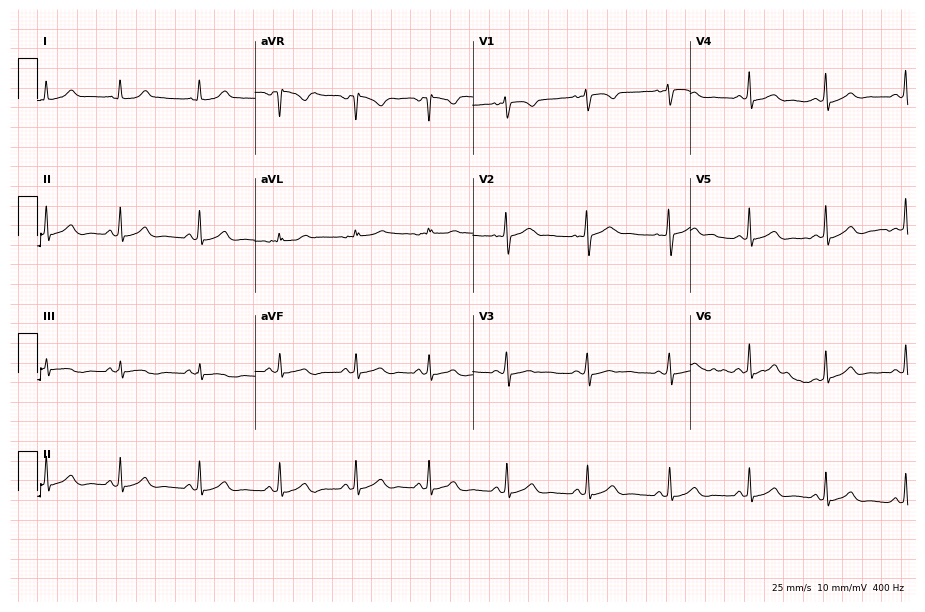
12-lead ECG from a female, 27 years old (8.9-second recording at 400 Hz). No first-degree AV block, right bundle branch block (RBBB), left bundle branch block (LBBB), sinus bradycardia, atrial fibrillation (AF) or sinus tachycardia recorded for this tracing.